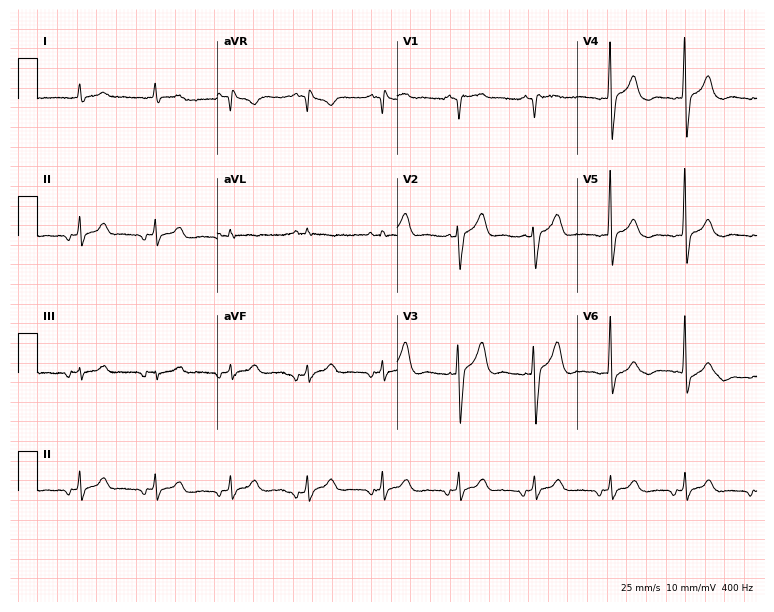
Standard 12-lead ECG recorded from a male, 84 years old. Read as a normal ECG.